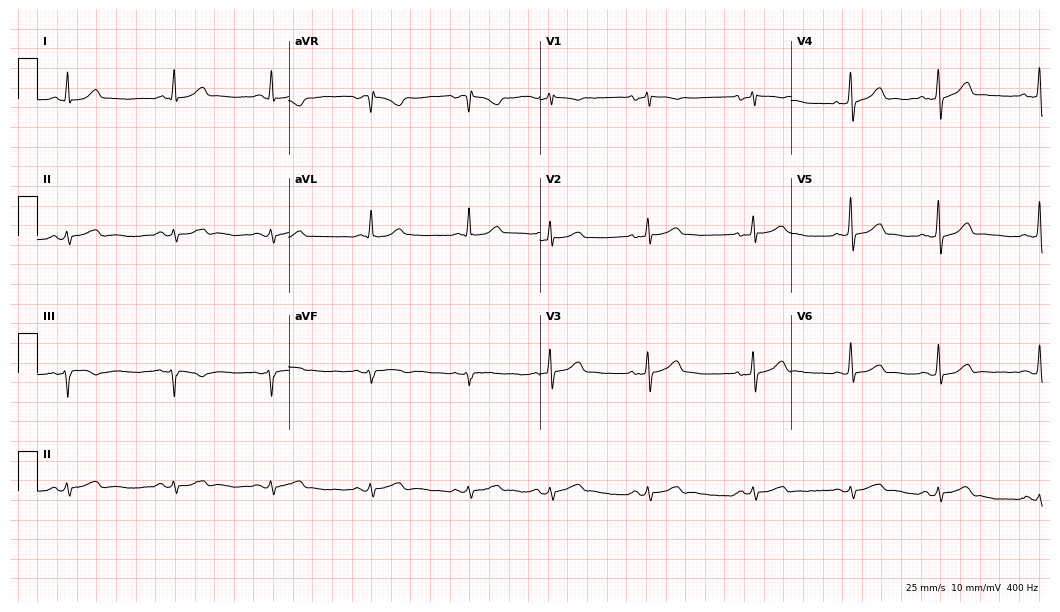
12-lead ECG from a 57-year-old male patient. Screened for six findings — first-degree AV block, right bundle branch block (RBBB), left bundle branch block (LBBB), sinus bradycardia, atrial fibrillation (AF), sinus tachycardia — none is recorded.